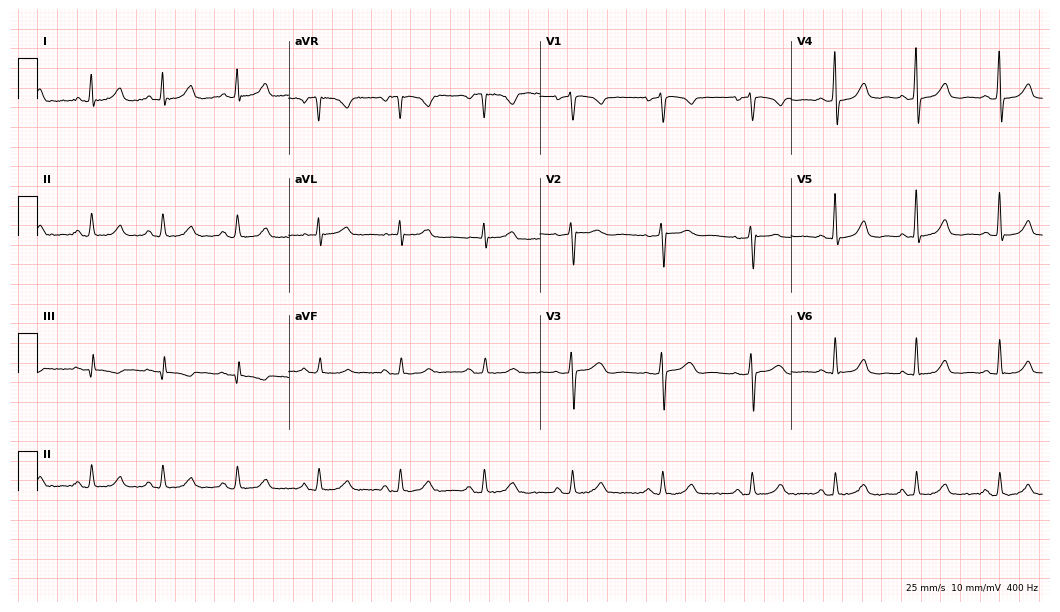
ECG — a 56-year-old female patient. Labelled as a normal ECG.